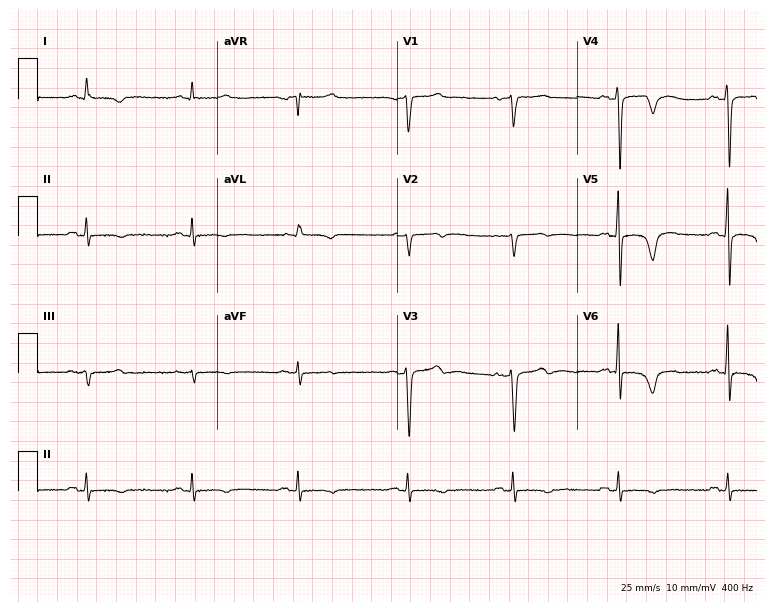
12-lead ECG from a 76-year-old male. Screened for six findings — first-degree AV block, right bundle branch block, left bundle branch block, sinus bradycardia, atrial fibrillation, sinus tachycardia — none is recorded. Findings outside these six are not listed.